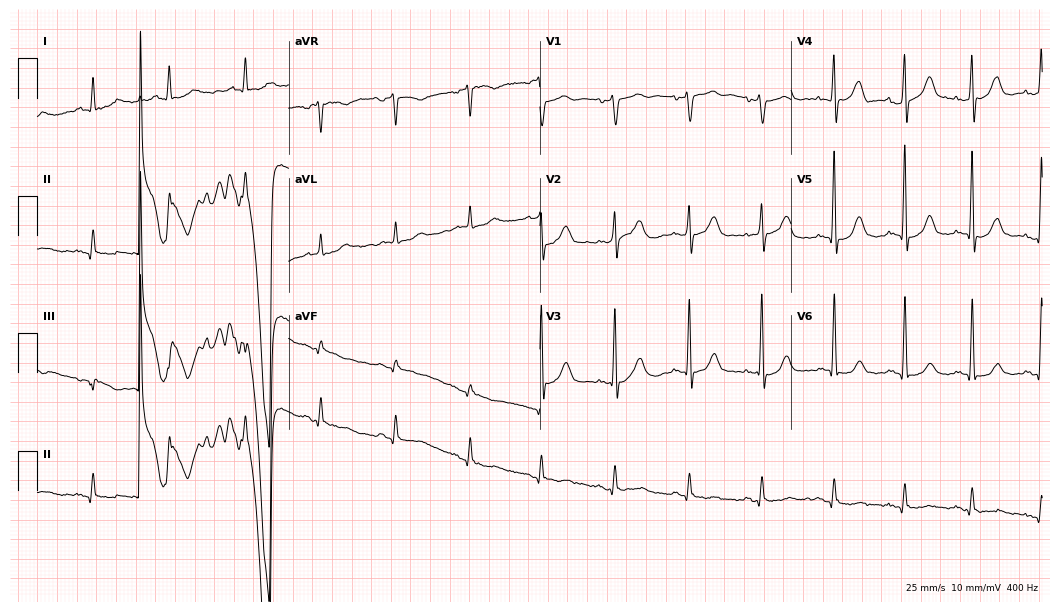
Resting 12-lead electrocardiogram (10.2-second recording at 400 Hz). Patient: an 84-year-old male. None of these six findings is recorded: first-degree AV block, right bundle branch block, left bundle branch block, sinus bradycardia, atrial fibrillation, sinus tachycardia. Findings outside these six are not listed.